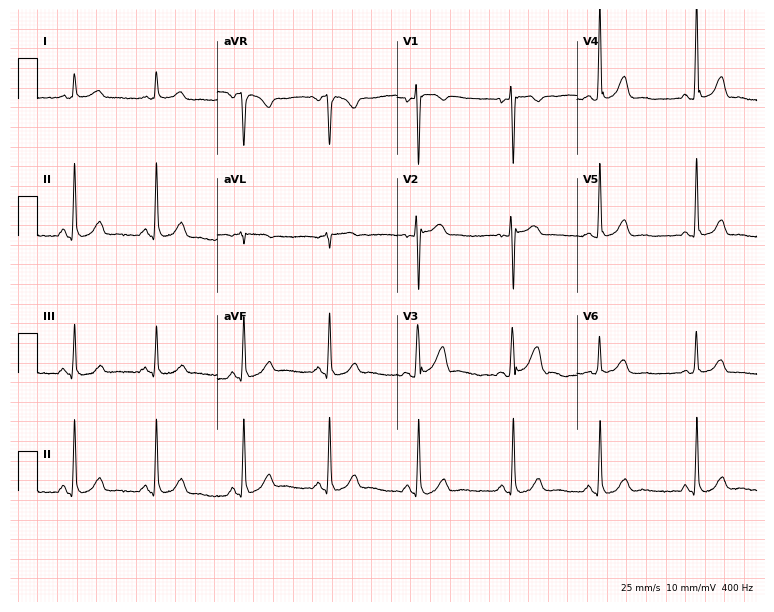
Standard 12-lead ECG recorded from a female, 45 years old. Read as a normal ECG.